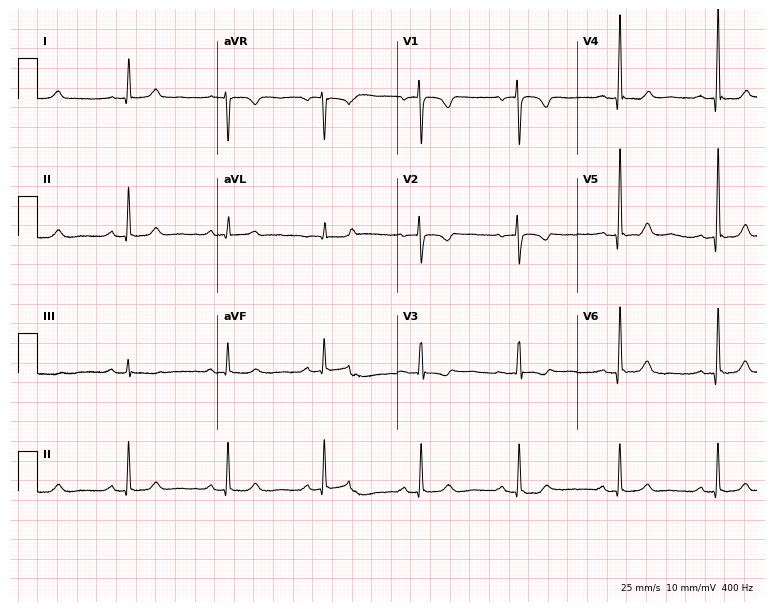
Standard 12-lead ECG recorded from a 43-year-old female (7.3-second recording at 400 Hz). None of these six findings is recorded: first-degree AV block, right bundle branch block, left bundle branch block, sinus bradycardia, atrial fibrillation, sinus tachycardia.